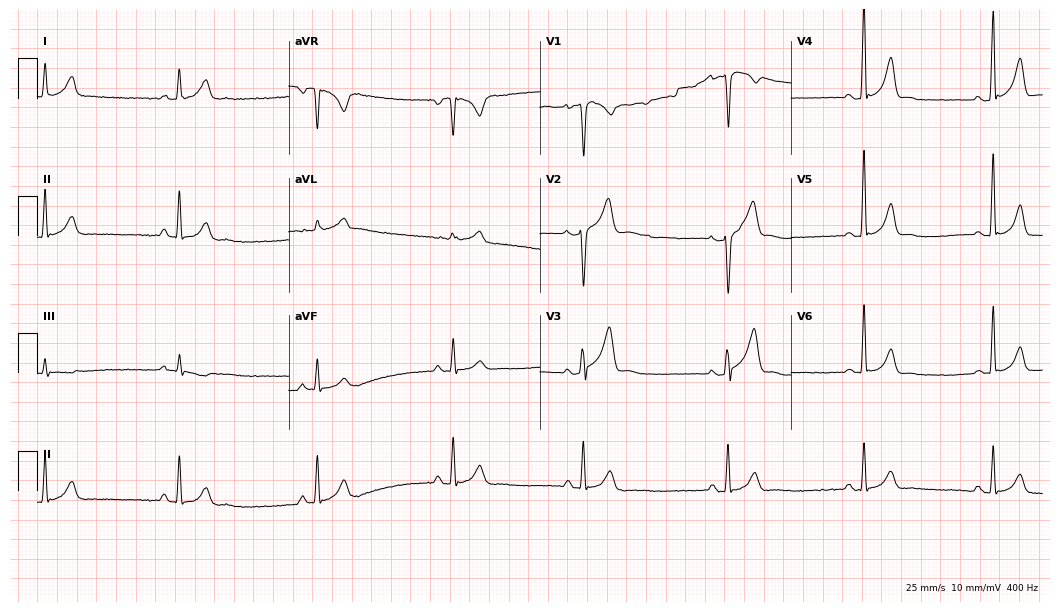
Standard 12-lead ECG recorded from a 40-year-old man (10.2-second recording at 400 Hz). The tracing shows sinus bradycardia (a sinus rate of 50 beats per minute or less).